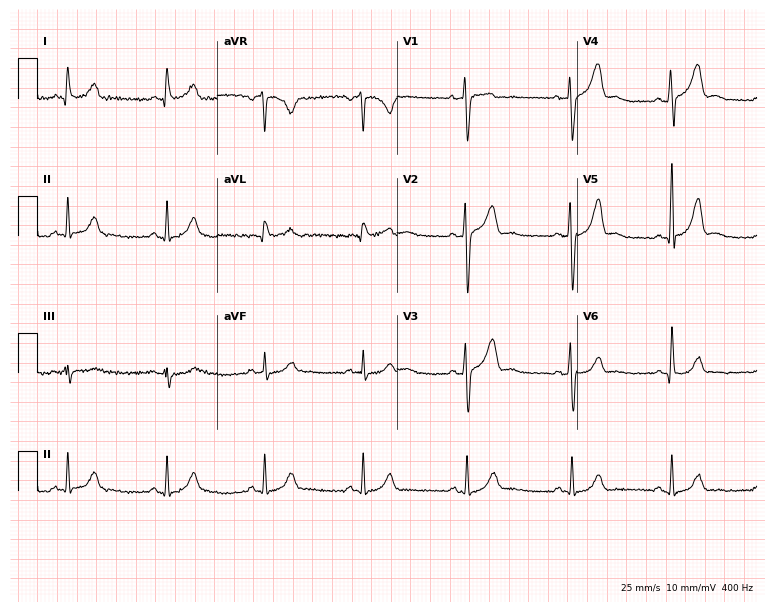
Standard 12-lead ECG recorded from a man, 33 years old. Read as a normal ECG.